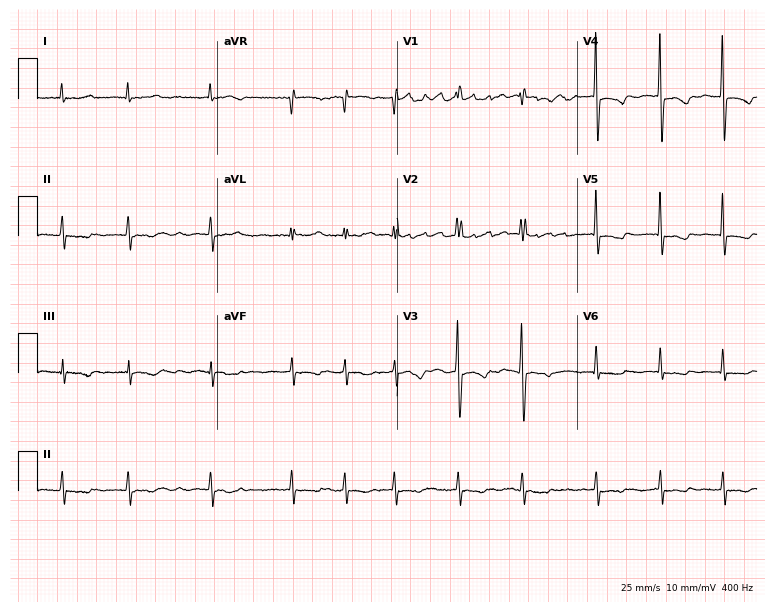
ECG (7.3-second recording at 400 Hz) — a woman, 82 years old. Findings include atrial fibrillation.